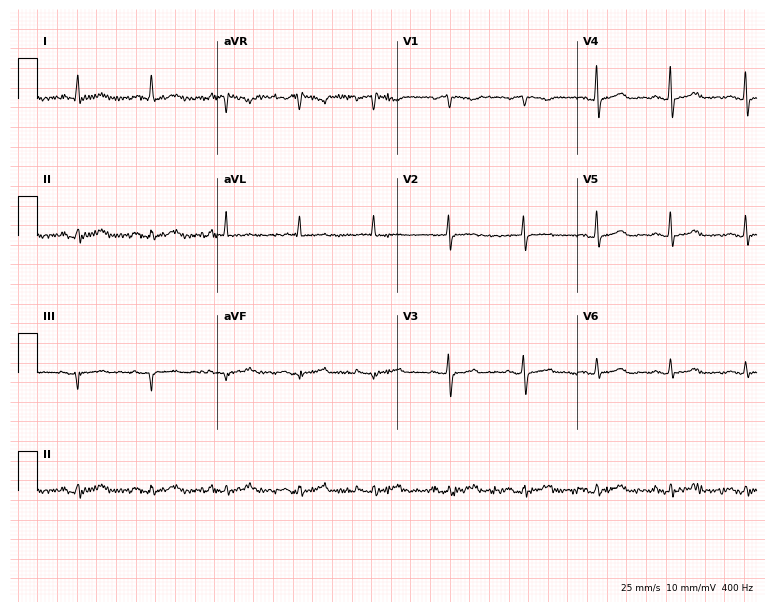
Resting 12-lead electrocardiogram (7.3-second recording at 400 Hz). Patient: a female, 60 years old. None of these six findings is recorded: first-degree AV block, right bundle branch block, left bundle branch block, sinus bradycardia, atrial fibrillation, sinus tachycardia.